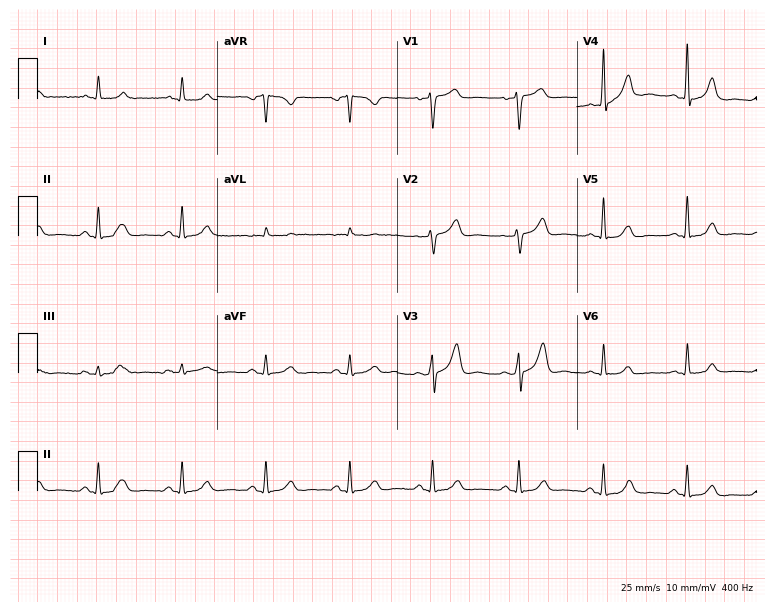
12-lead ECG (7.3-second recording at 400 Hz) from a woman, 61 years old. Screened for six findings — first-degree AV block, right bundle branch block, left bundle branch block, sinus bradycardia, atrial fibrillation, sinus tachycardia — none is recorded. Findings outside these six are not listed.